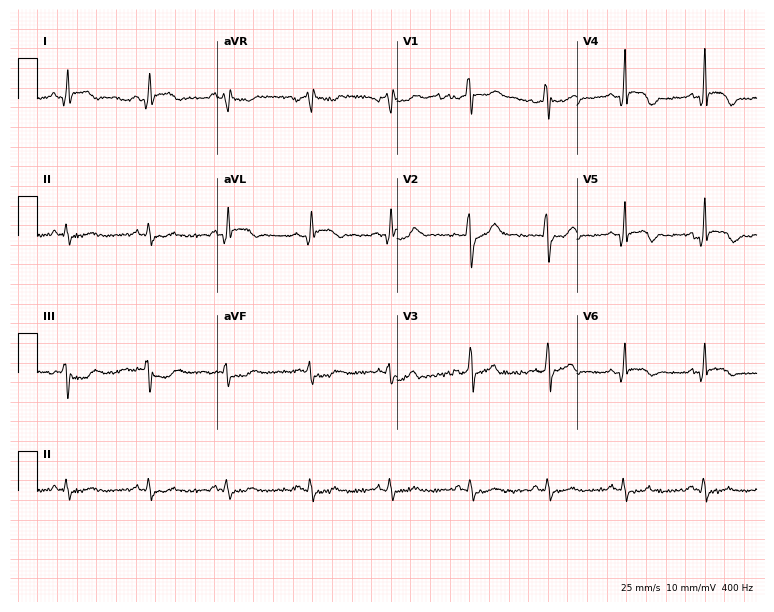
12-lead ECG from a 30-year-old male patient (7.3-second recording at 400 Hz). No first-degree AV block, right bundle branch block (RBBB), left bundle branch block (LBBB), sinus bradycardia, atrial fibrillation (AF) or sinus tachycardia recorded for this tracing.